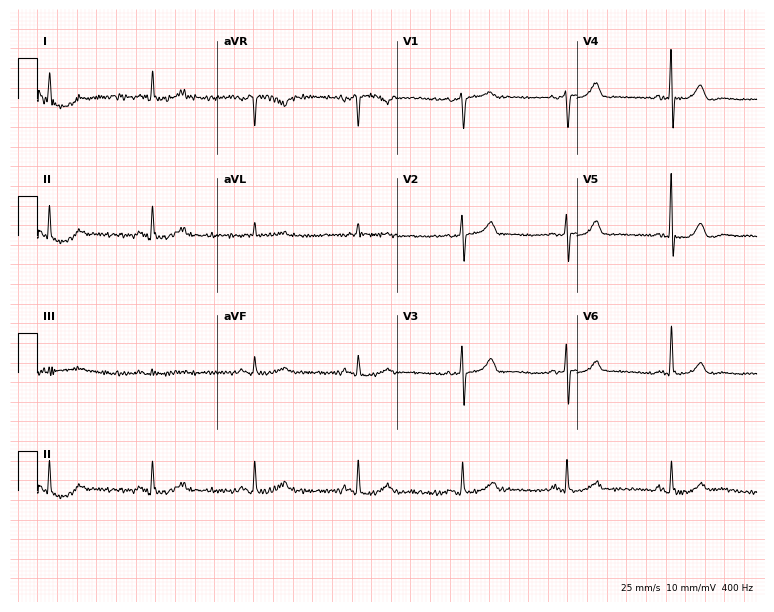
ECG — a woman, 76 years old. Labelled as a normal ECG.